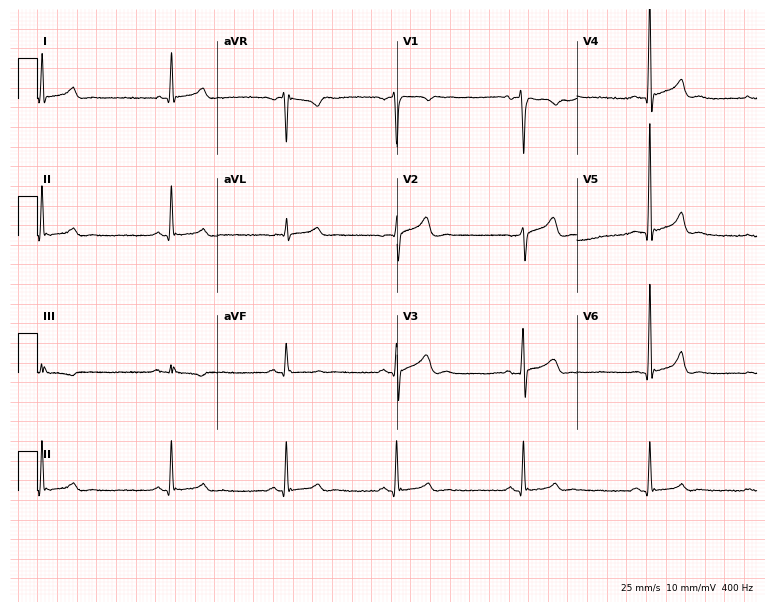
Resting 12-lead electrocardiogram. Patient: a 42-year-old male. Read as a normal ECG.